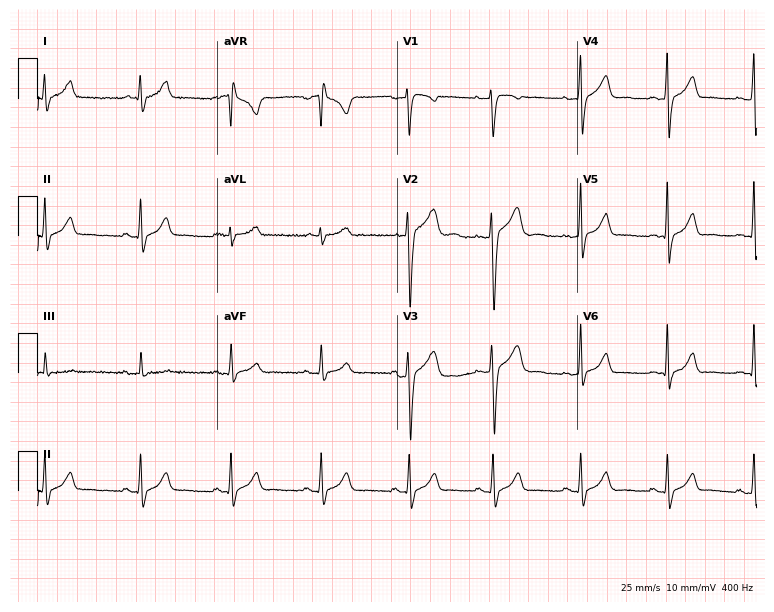
12-lead ECG (7.3-second recording at 400 Hz) from a male patient, 24 years old. Labelled as a normal ECG.